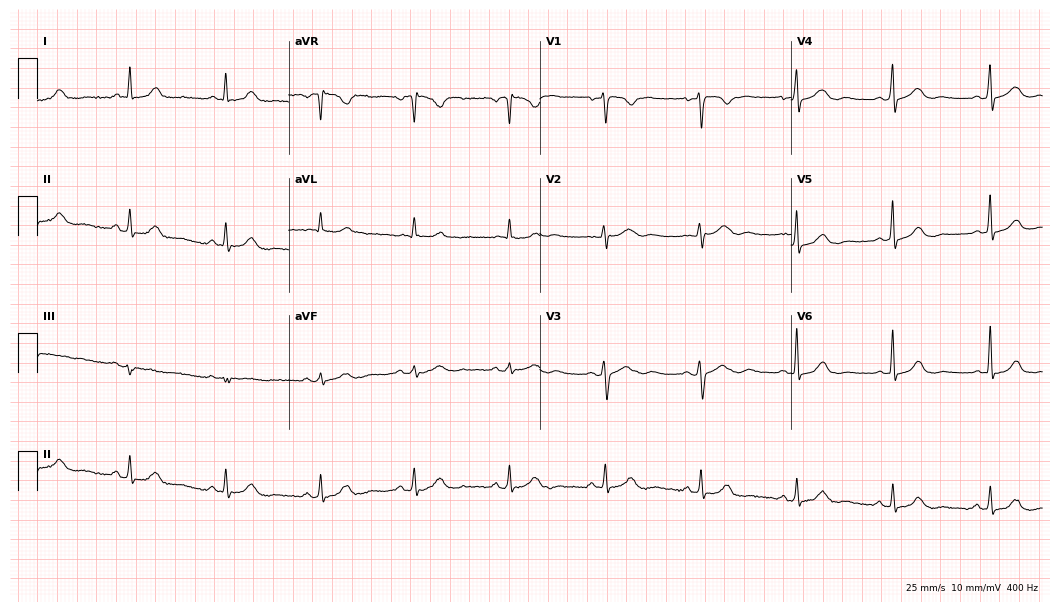
Resting 12-lead electrocardiogram (10.2-second recording at 400 Hz). Patient: a 50-year-old woman. Read as a normal ECG.